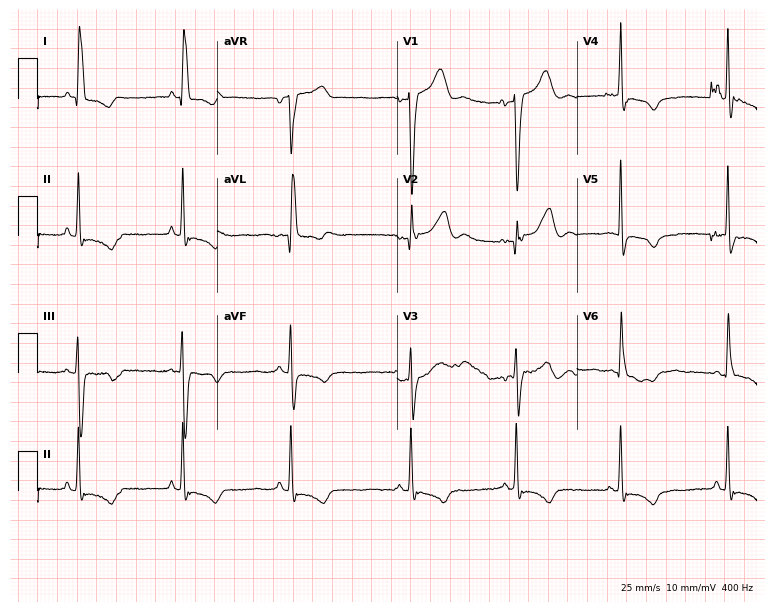
Resting 12-lead electrocardiogram. Patient: a female, 73 years old. None of these six findings is recorded: first-degree AV block, right bundle branch block, left bundle branch block, sinus bradycardia, atrial fibrillation, sinus tachycardia.